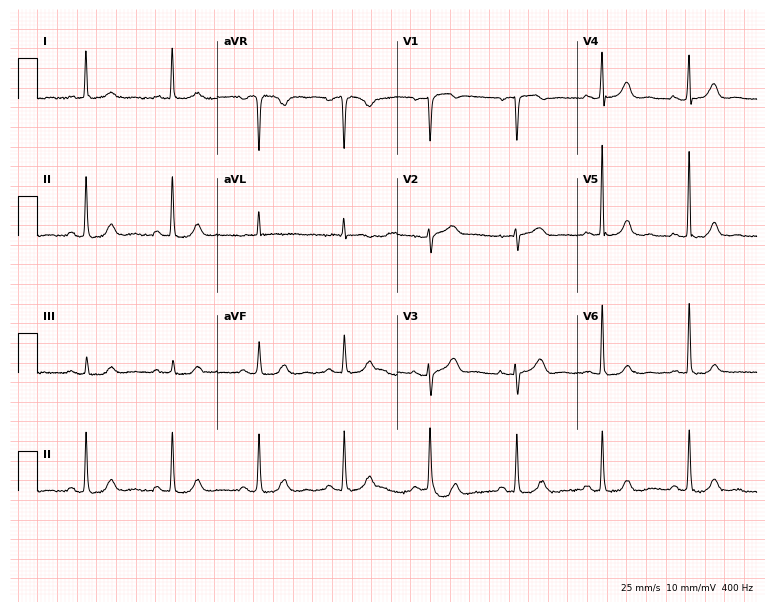
12-lead ECG (7.3-second recording at 400 Hz) from an 85-year-old female. Screened for six findings — first-degree AV block, right bundle branch block, left bundle branch block, sinus bradycardia, atrial fibrillation, sinus tachycardia — none is recorded. Only these six findings were labelled.